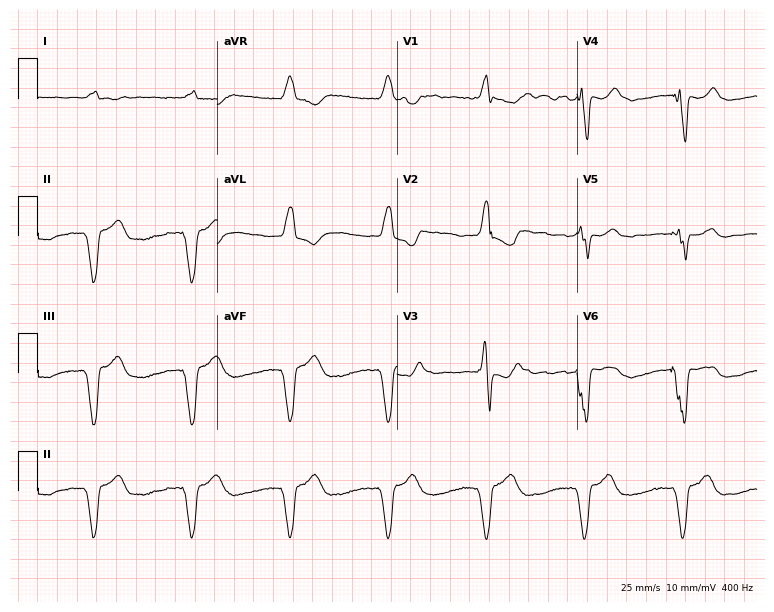
12-lead ECG from a male, 80 years old. No first-degree AV block, right bundle branch block (RBBB), left bundle branch block (LBBB), sinus bradycardia, atrial fibrillation (AF) or sinus tachycardia recorded for this tracing.